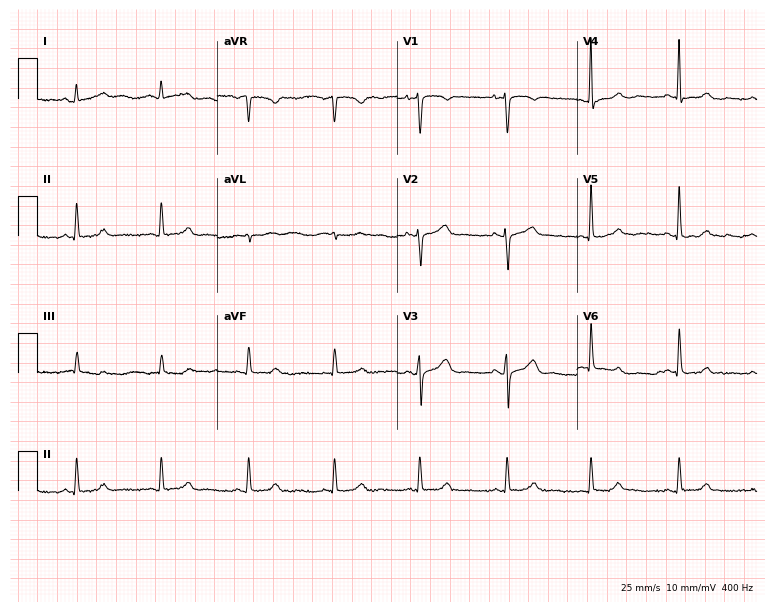
Electrocardiogram, a 53-year-old female. Of the six screened findings (first-degree AV block, right bundle branch block, left bundle branch block, sinus bradycardia, atrial fibrillation, sinus tachycardia), none is recorded.